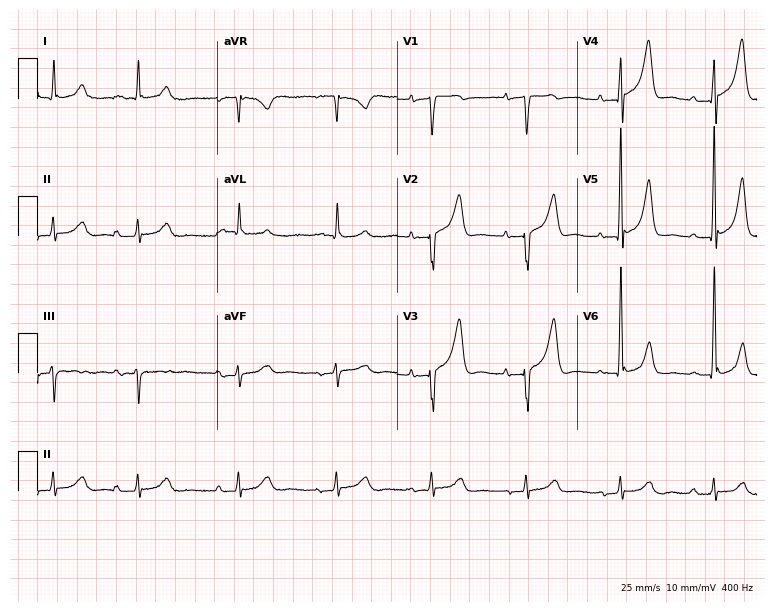
12-lead ECG from an 80-year-old man. Labelled as a normal ECG.